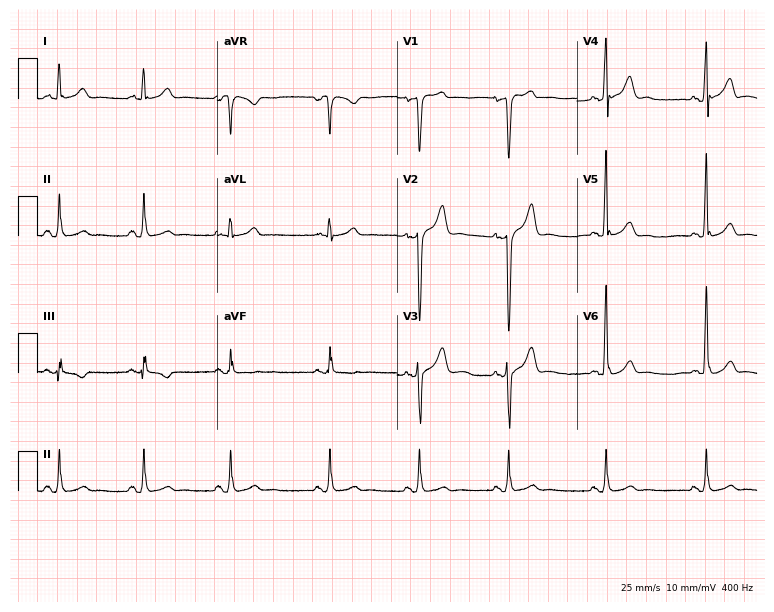
ECG (7.3-second recording at 400 Hz) — a man, 29 years old. Labelled as a normal ECG.